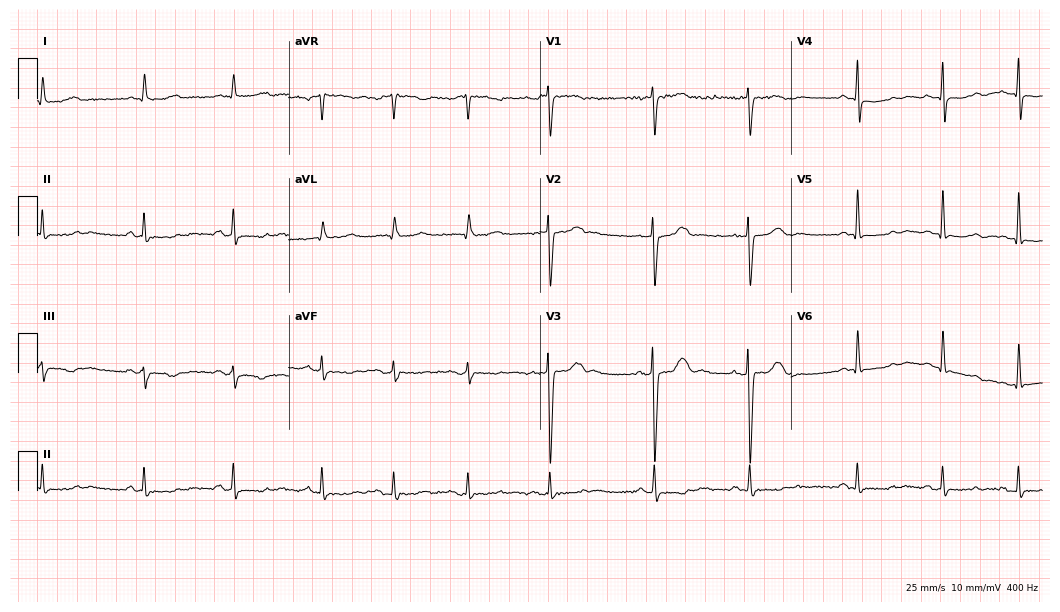
12-lead ECG from a woman, 70 years old. No first-degree AV block, right bundle branch block, left bundle branch block, sinus bradycardia, atrial fibrillation or sinus tachycardia recorded for this tracing. Findings outside these six are not listed.